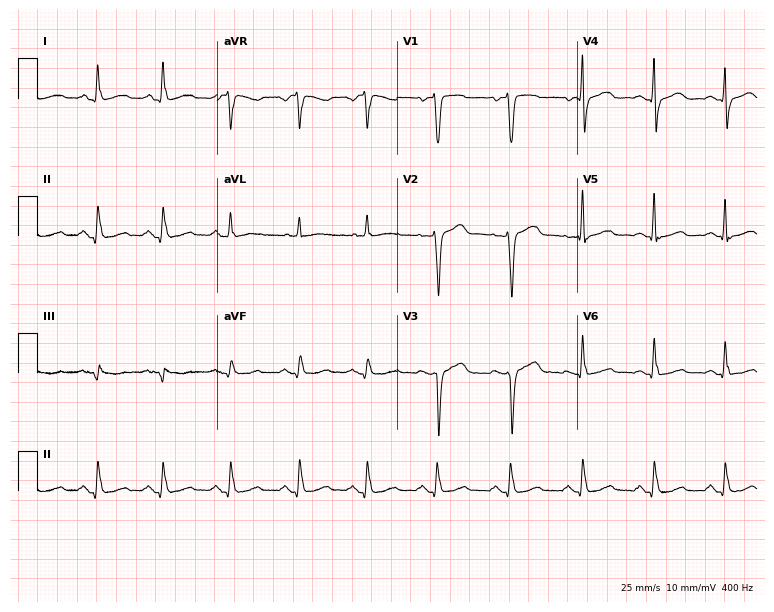
12-lead ECG from a 52-year-old female patient. No first-degree AV block, right bundle branch block, left bundle branch block, sinus bradycardia, atrial fibrillation or sinus tachycardia recorded for this tracing. Findings outside these six are not listed.